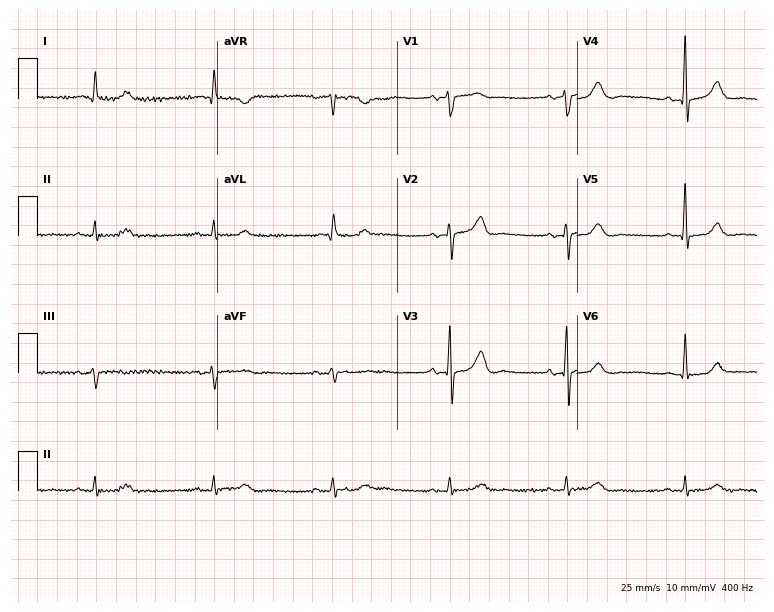
Electrocardiogram, an 80-year-old male. Overall reading on record: normal ECG.